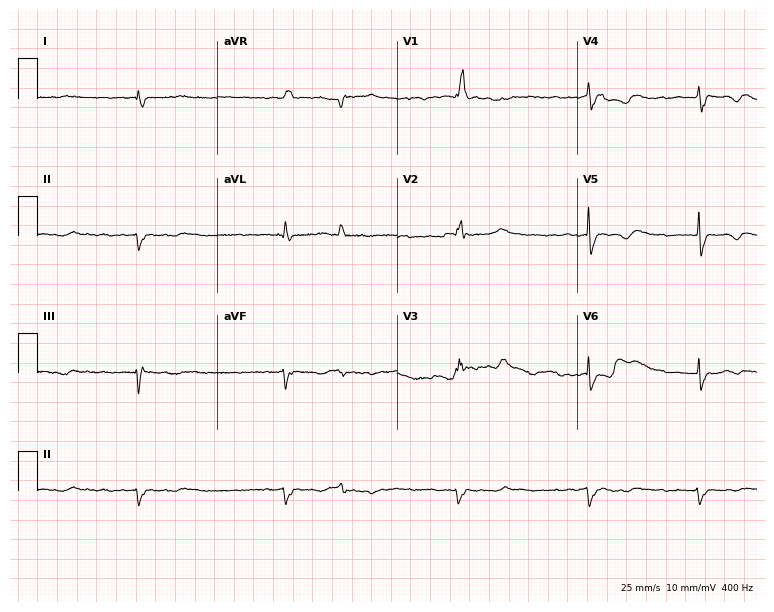
Resting 12-lead electrocardiogram. Patient: a 75-year-old male. None of these six findings is recorded: first-degree AV block, right bundle branch block, left bundle branch block, sinus bradycardia, atrial fibrillation, sinus tachycardia.